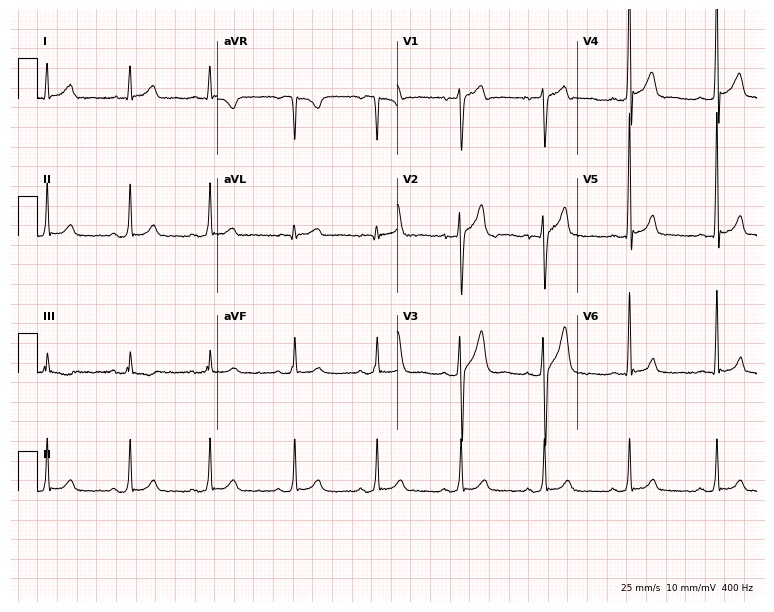
Resting 12-lead electrocardiogram (7.3-second recording at 400 Hz). Patient: a 38-year-old man. Read as a normal ECG.